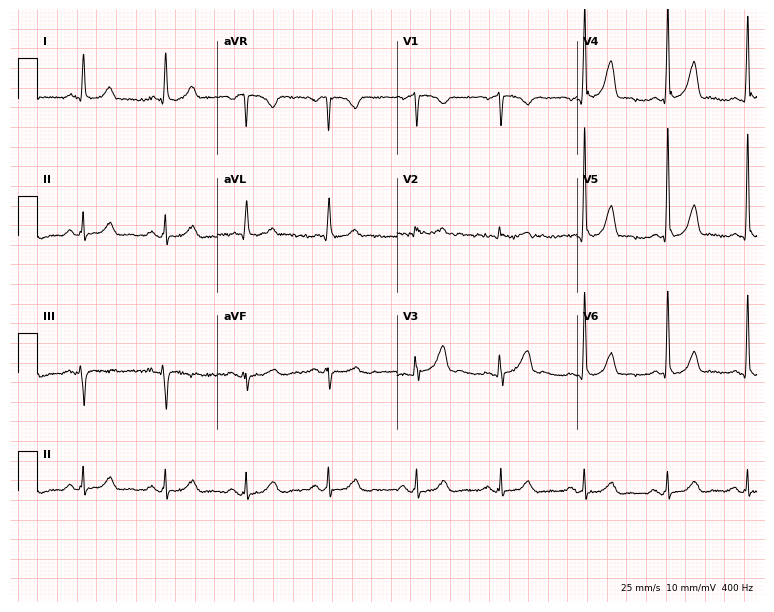
Resting 12-lead electrocardiogram. Patient: a female, 56 years old. Read as a normal ECG.